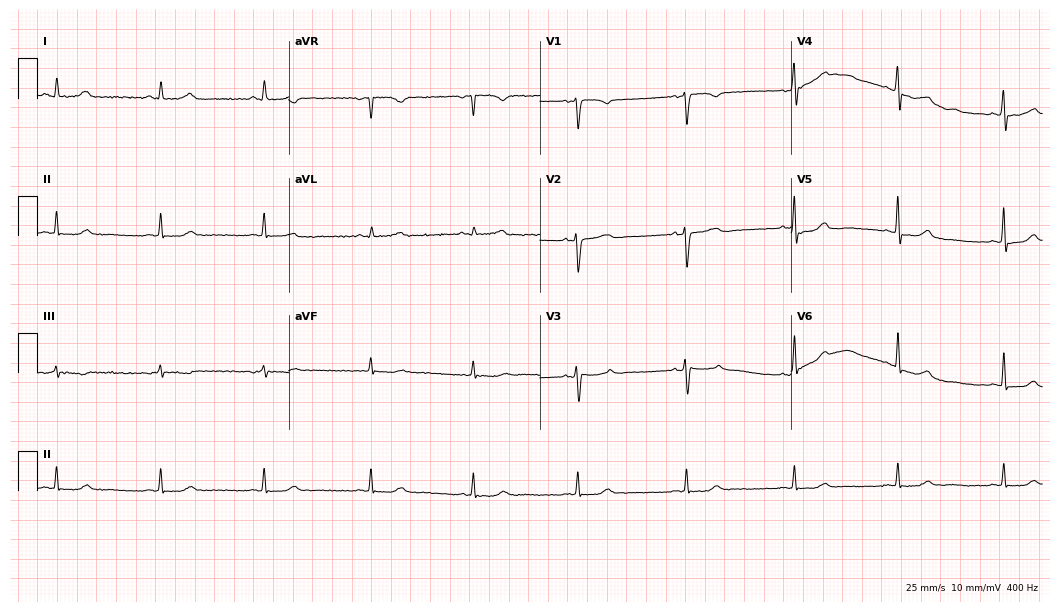
Standard 12-lead ECG recorded from a 50-year-old female. None of these six findings is recorded: first-degree AV block, right bundle branch block (RBBB), left bundle branch block (LBBB), sinus bradycardia, atrial fibrillation (AF), sinus tachycardia.